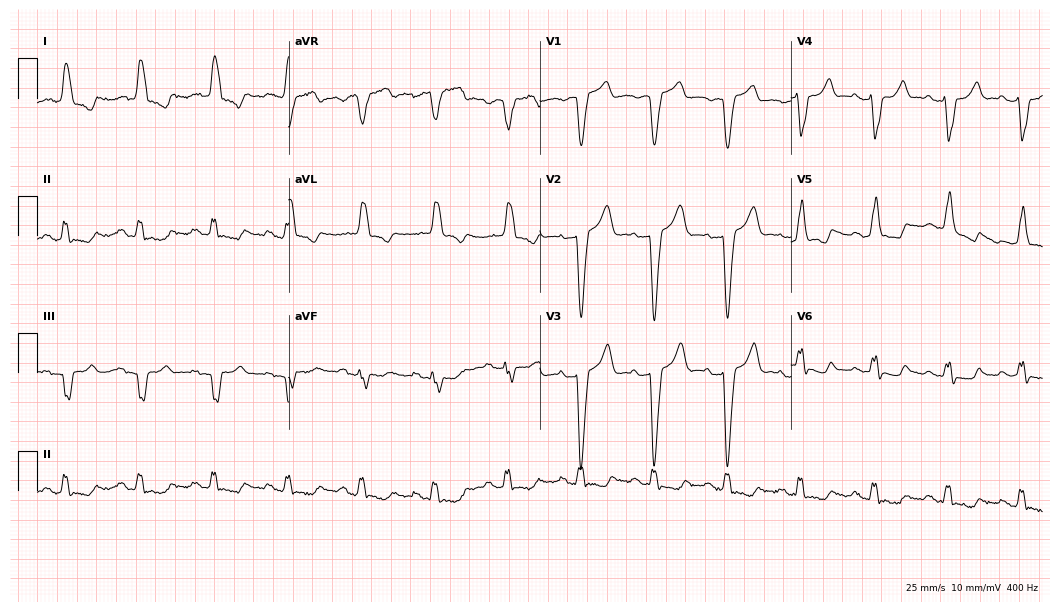
Standard 12-lead ECG recorded from a female patient, 80 years old (10.2-second recording at 400 Hz). The tracing shows left bundle branch block (LBBB).